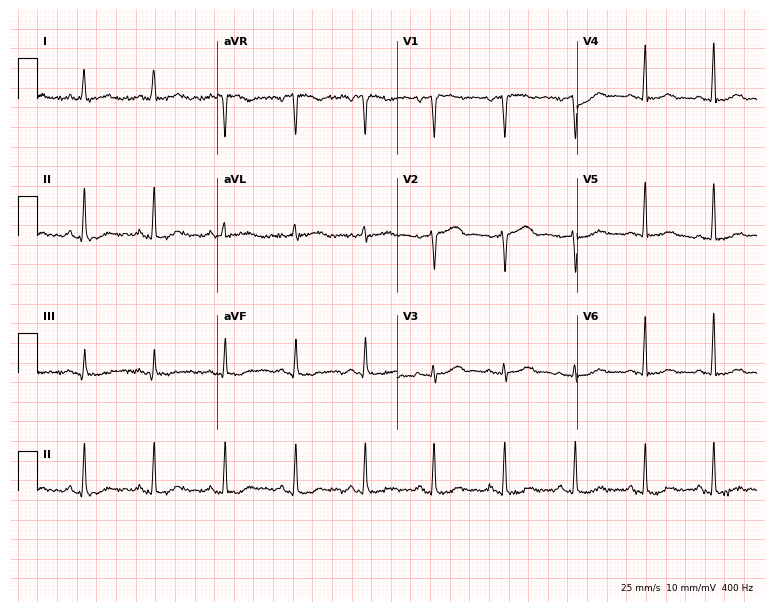
12-lead ECG from a female, 50 years old (7.3-second recording at 400 Hz). No first-degree AV block, right bundle branch block, left bundle branch block, sinus bradycardia, atrial fibrillation or sinus tachycardia recorded for this tracing.